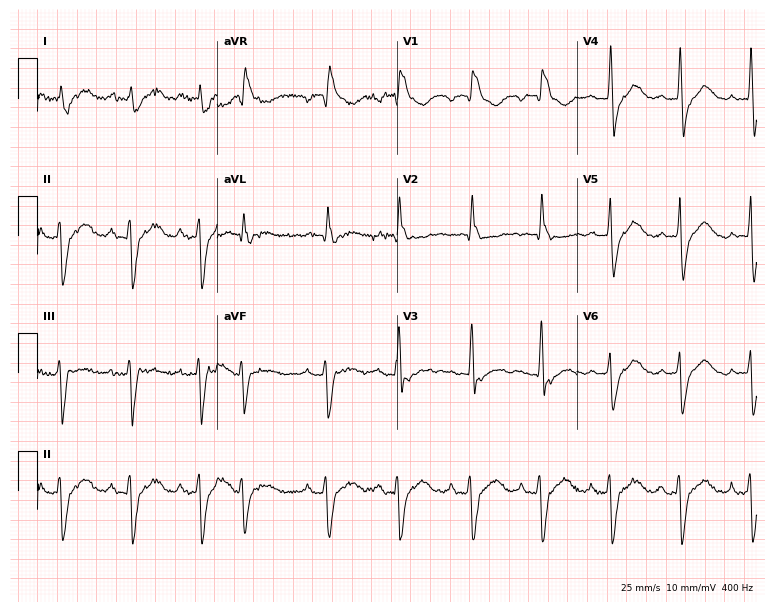
Electrocardiogram (7.3-second recording at 400 Hz), an 81-year-old male patient. Interpretation includes right bundle branch block (RBBB).